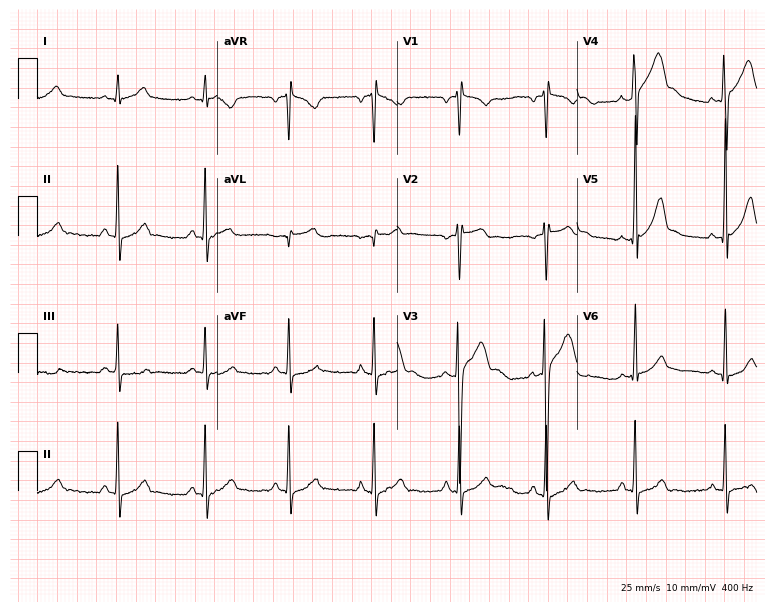
Electrocardiogram, a 26-year-old male. Overall reading on record: normal ECG.